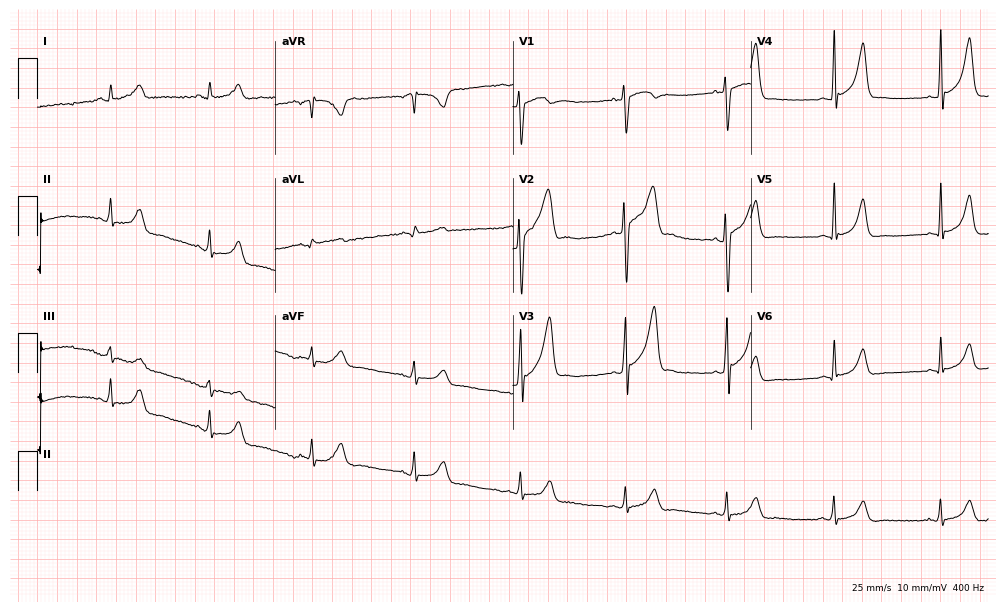
Standard 12-lead ECG recorded from a 35-year-old male patient (9.7-second recording at 400 Hz). Read as a normal ECG.